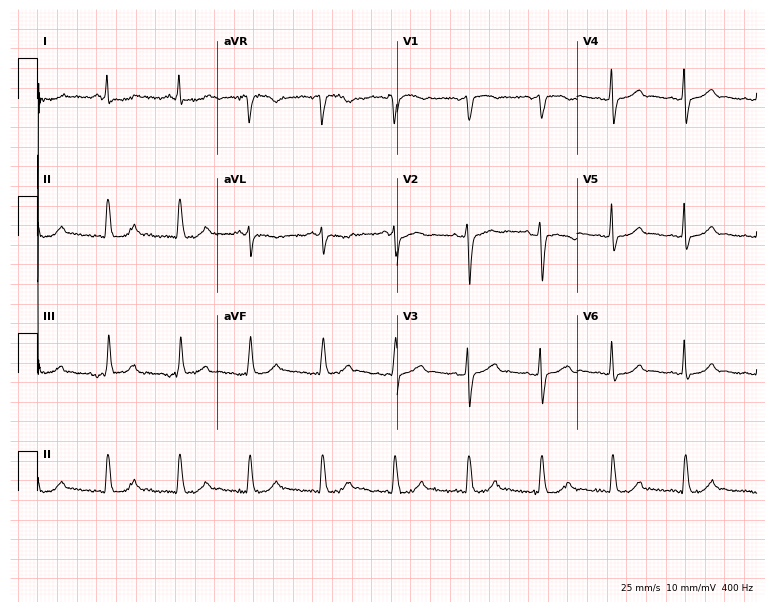
12-lead ECG (7.3-second recording at 400 Hz) from a female patient, 65 years old. Labelled as a normal ECG.